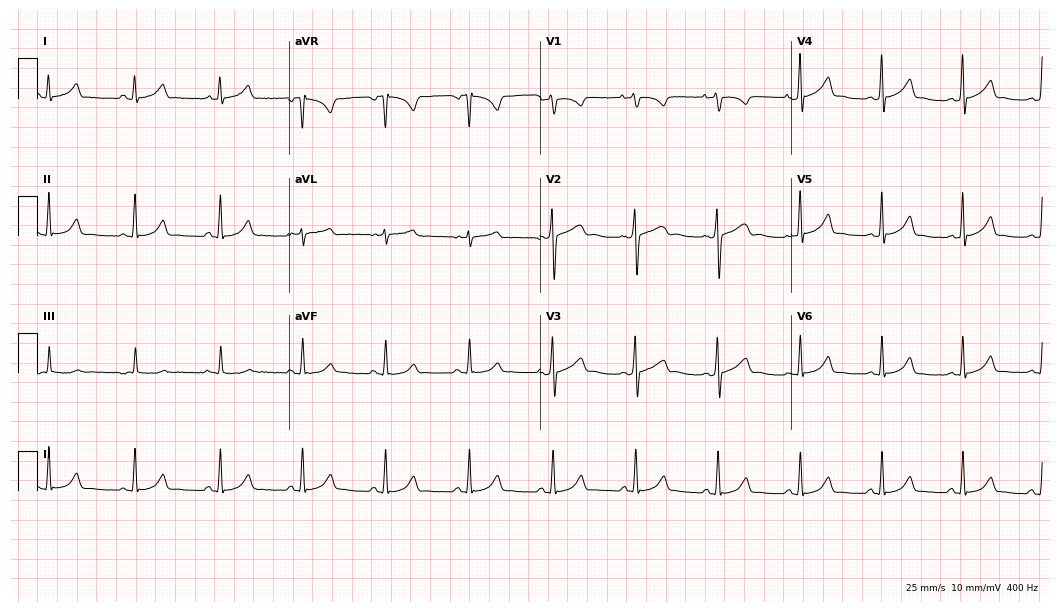
12-lead ECG from a 31-year-old female. Recorded interpretation: within normal limits.